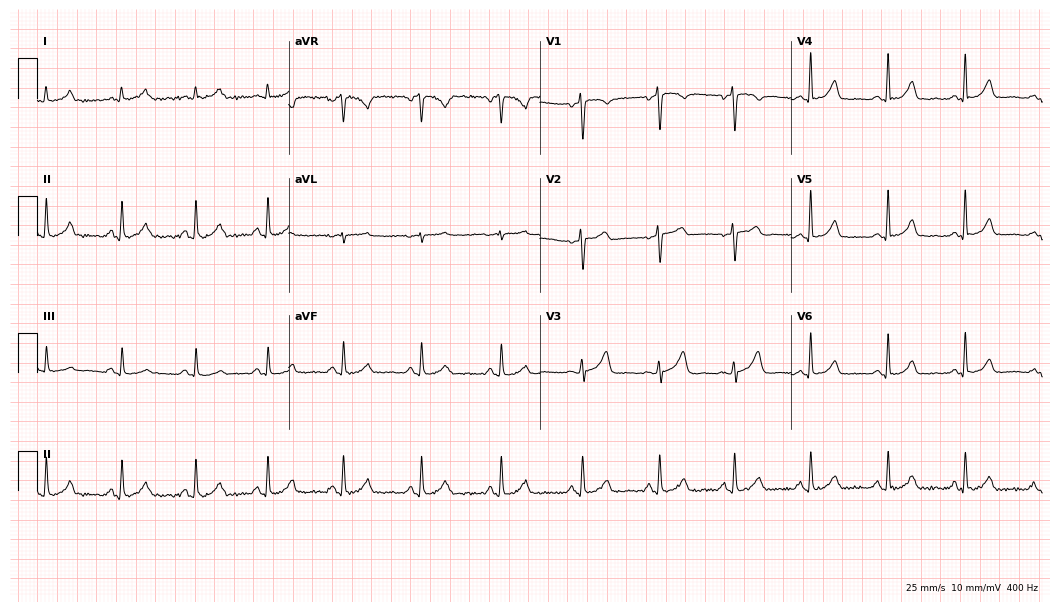
12-lead ECG (10.2-second recording at 400 Hz) from a 47-year-old woman. Labelled as a normal ECG.